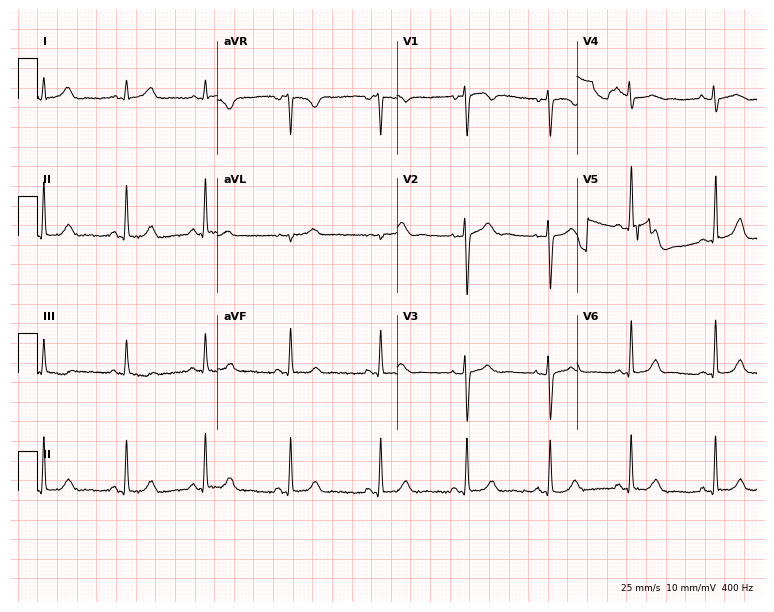
Standard 12-lead ECG recorded from a 49-year-old female. Read as a normal ECG.